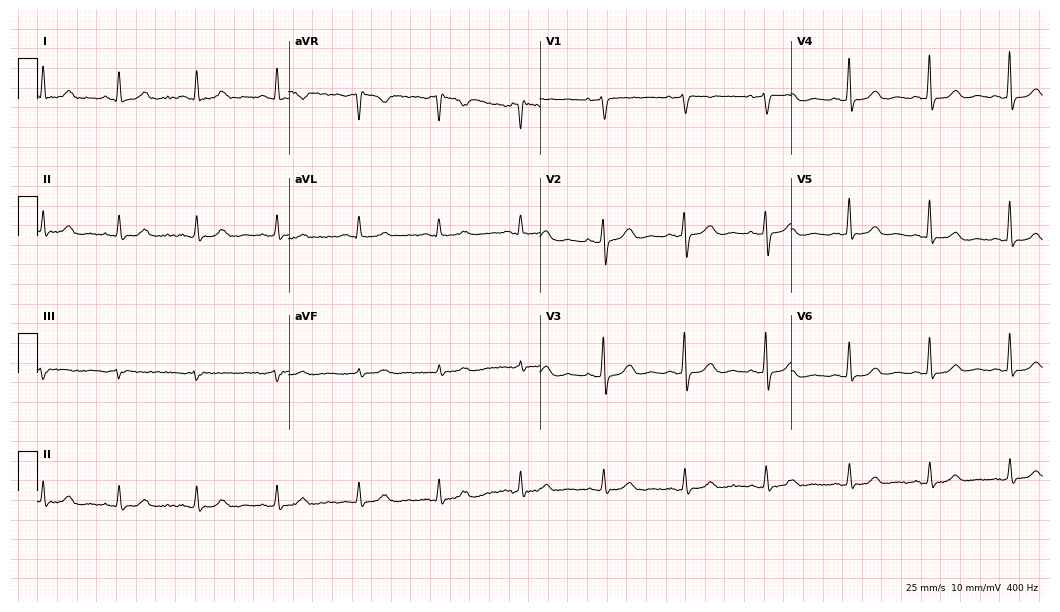
Resting 12-lead electrocardiogram. Patient: a female, 70 years old. None of these six findings is recorded: first-degree AV block, right bundle branch block, left bundle branch block, sinus bradycardia, atrial fibrillation, sinus tachycardia.